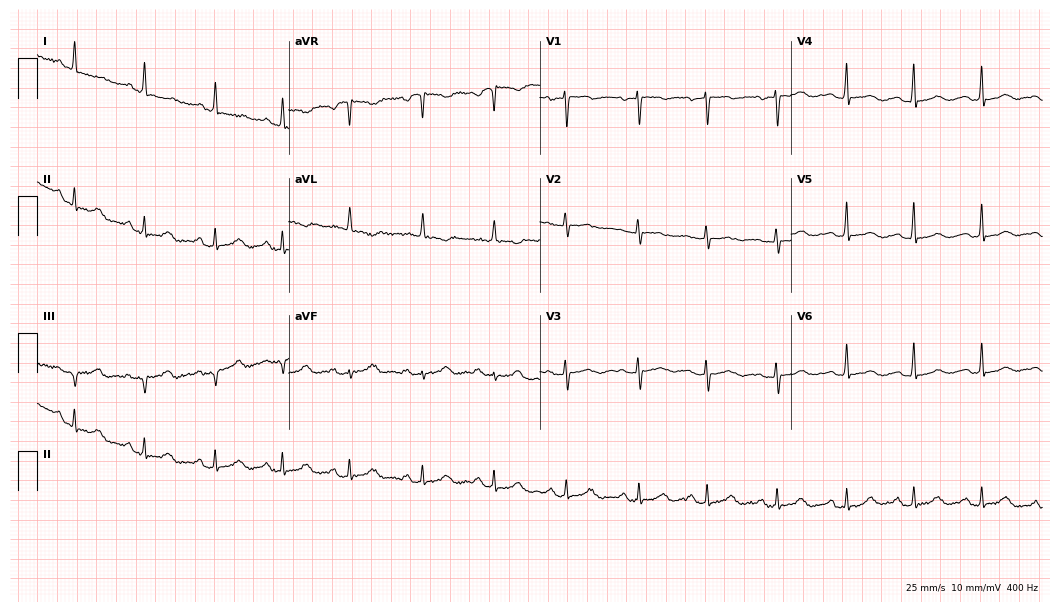
12-lead ECG from a 45-year-old woman. Screened for six findings — first-degree AV block, right bundle branch block, left bundle branch block, sinus bradycardia, atrial fibrillation, sinus tachycardia — none is recorded. Other findings, if any, are not listed.